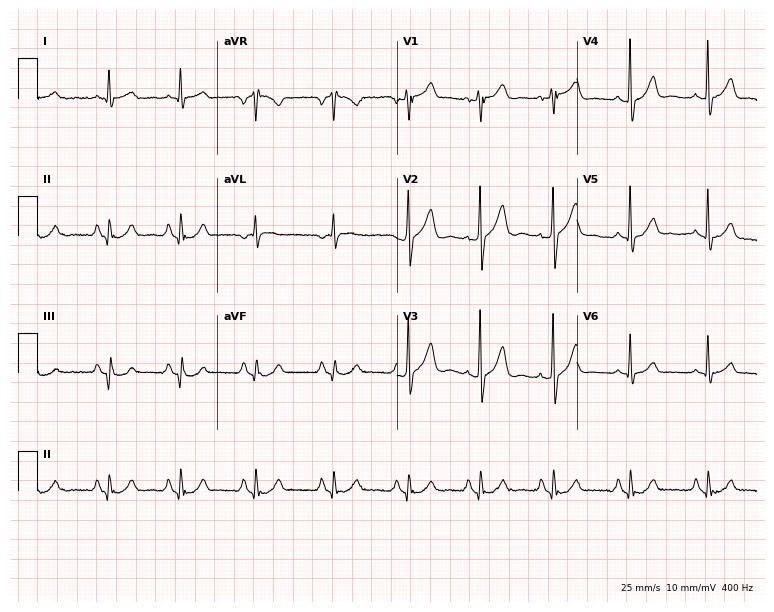
Standard 12-lead ECG recorded from a male patient, 63 years old (7.3-second recording at 400 Hz). None of these six findings is recorded: first-degree AV block, right bundle branch block, left bundle branch block, sinus bradycardia, atrial fibrillation, sinus tachycardia.